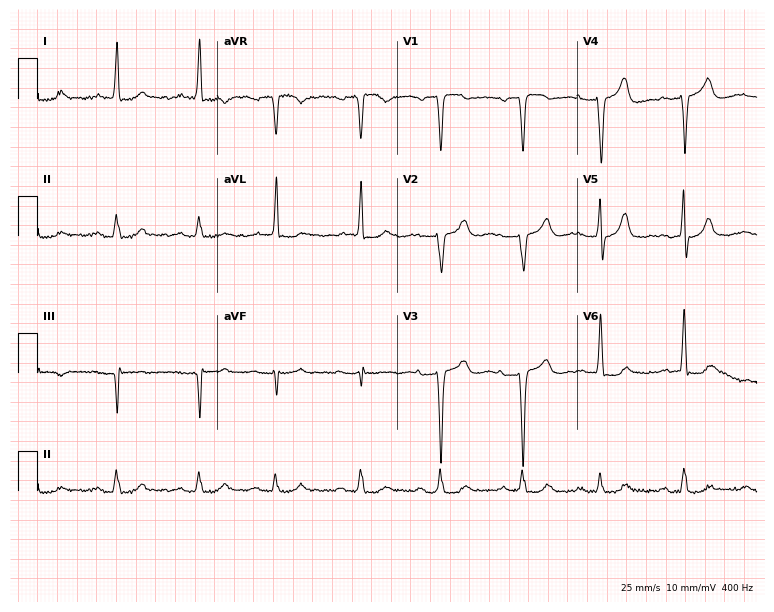
Standard 12-lead ECG recorded from a man, 85 years old (7.3-second recording at 400 Hz). None of these six findings is recorded: first-degree AV block, right bundle branch block, left bundle branch block, sinus bradycardia, atrial fibrillation, sinus tachycardia. Only these six findings were labelled.